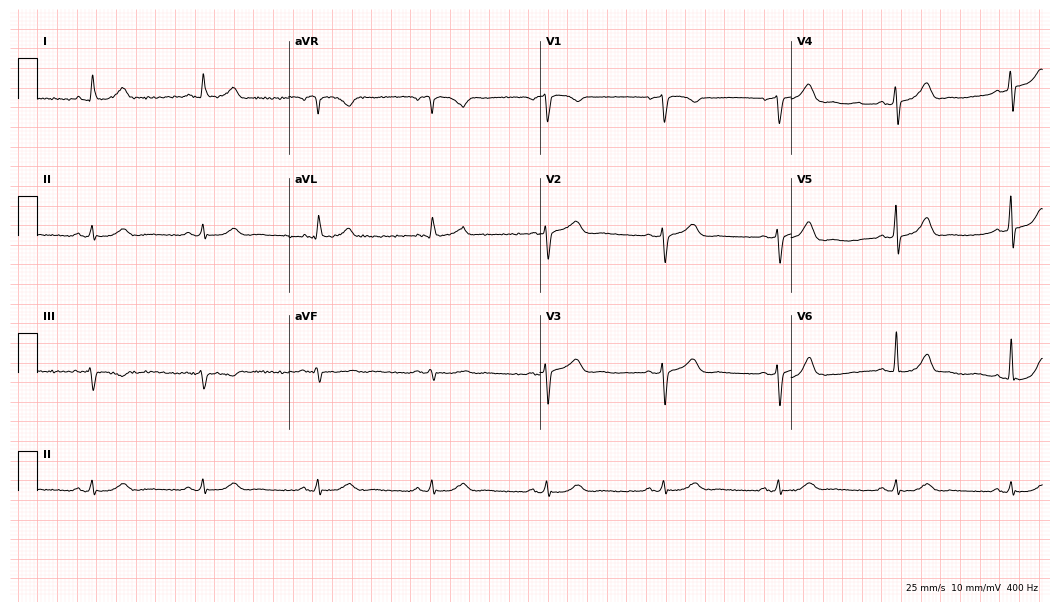
12-lead ECG from a male patient, 64 years old. Labelled as a normal ECG.